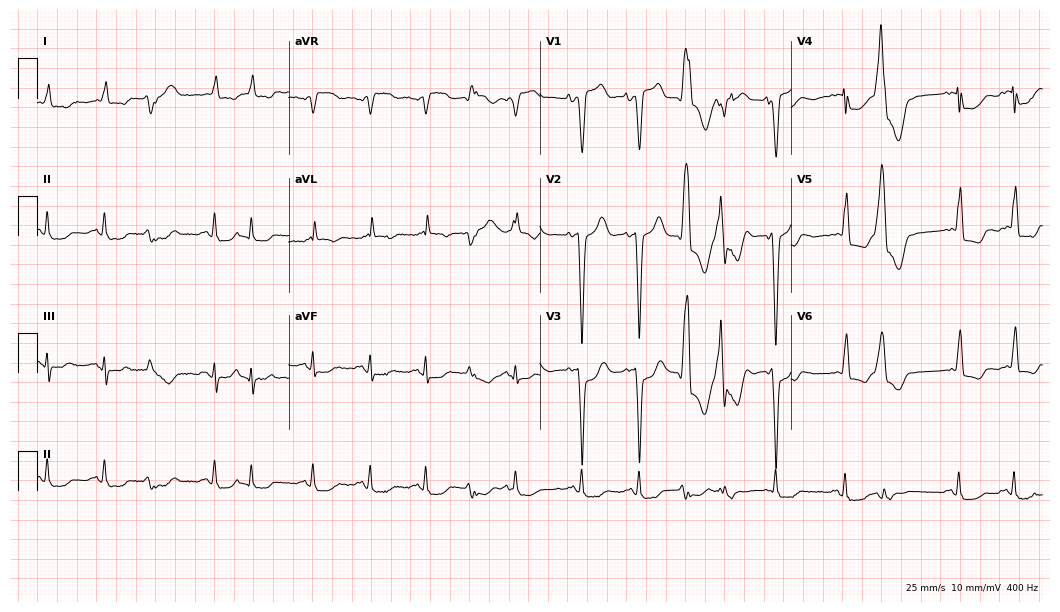
Standard 12-lead ECG recorded from a 75-year-old female patient (10.2-second recording at 400 Hz). None of these six findings is recorded: first-degree AV block, right bundle branch block (RBBB), left bundle branch block (LBBB), sinus bradycardia, atrial fibrillation (AF), sinus tachycardia.